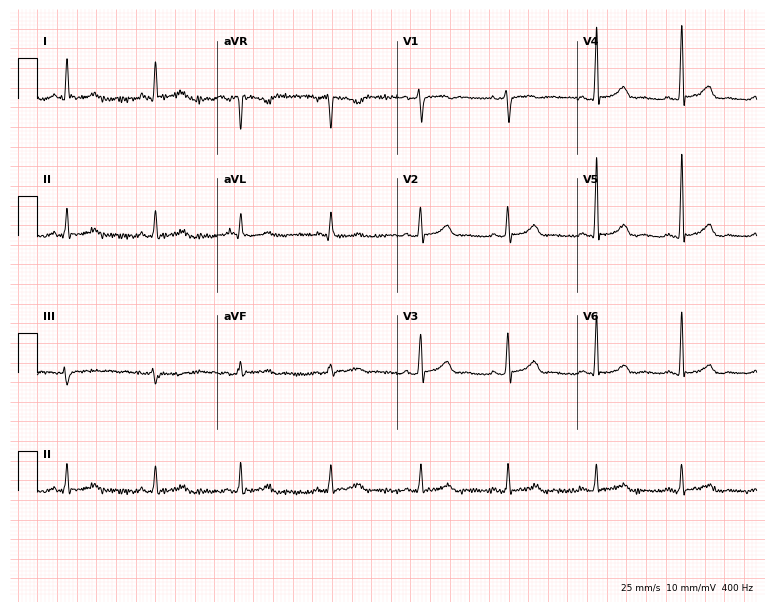
Electrocardiogram (7.3-second recording at 400 Hz), a female, 54 years old. Overall reading on record: normal ECG.